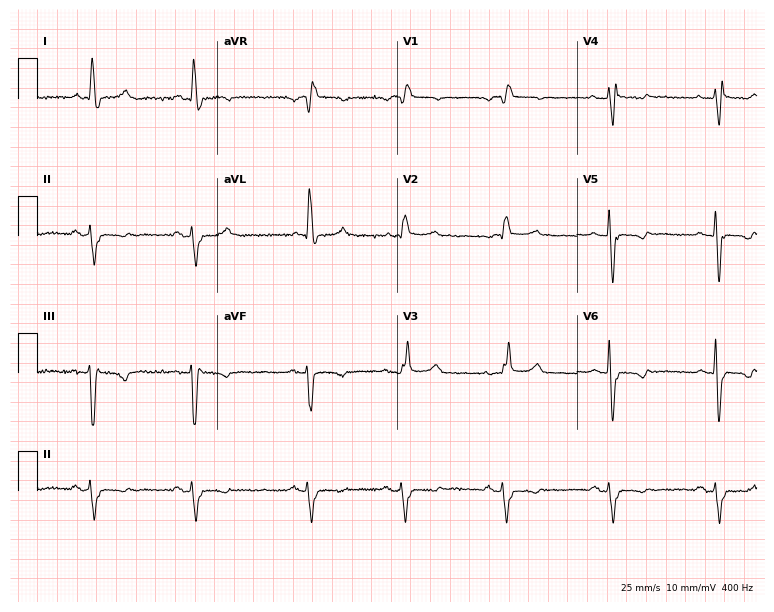
Resting 12-lead electrocardiogram. Patient: a female, 76 years old. The tracing shows right bundle branch block.